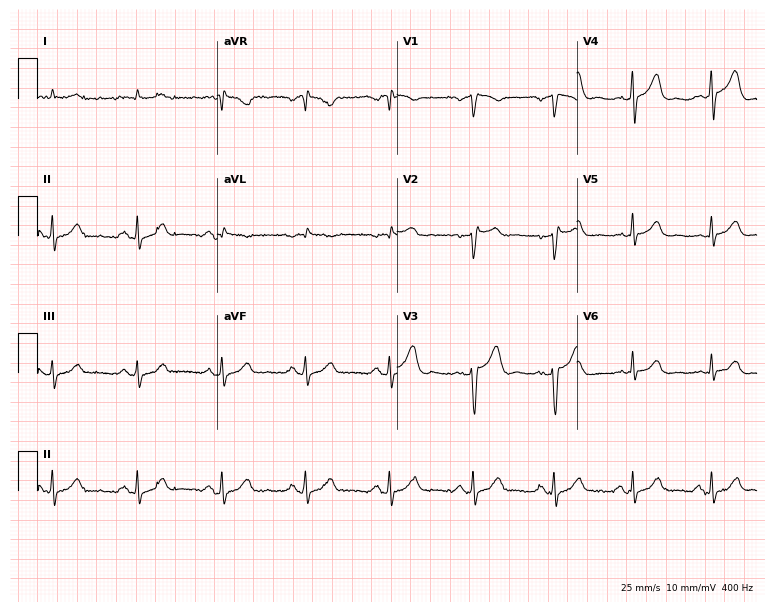
Resting 12-lead electrocardiogram. Patient: a male, 62 years old. None of these six findings is recorded: first-degree AV block, right bundle branch block, left bundle branch block, sinus bradycardia, atrial fibrillation, sinus tachycardia. Findings outside these six are not listed.